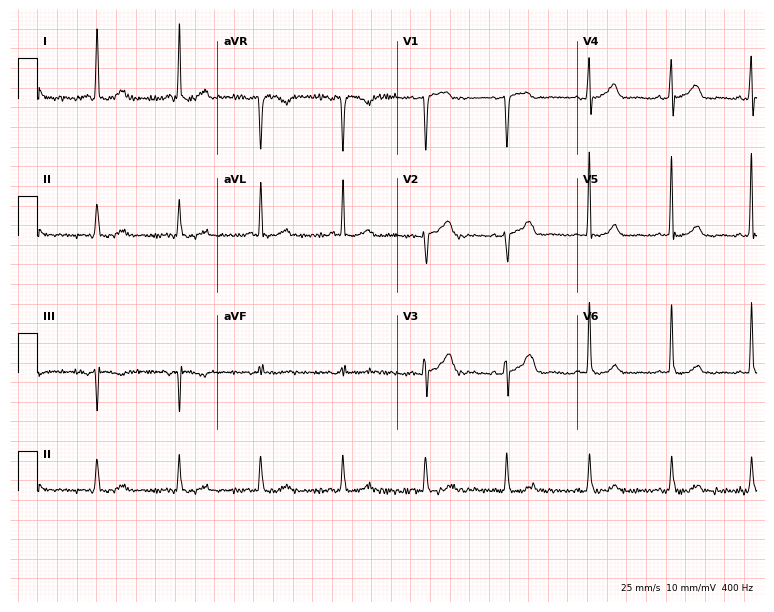
ECG (7.3-second recording at 400 Hz) — a female, 71 years old. Labelled as a normal ECG.